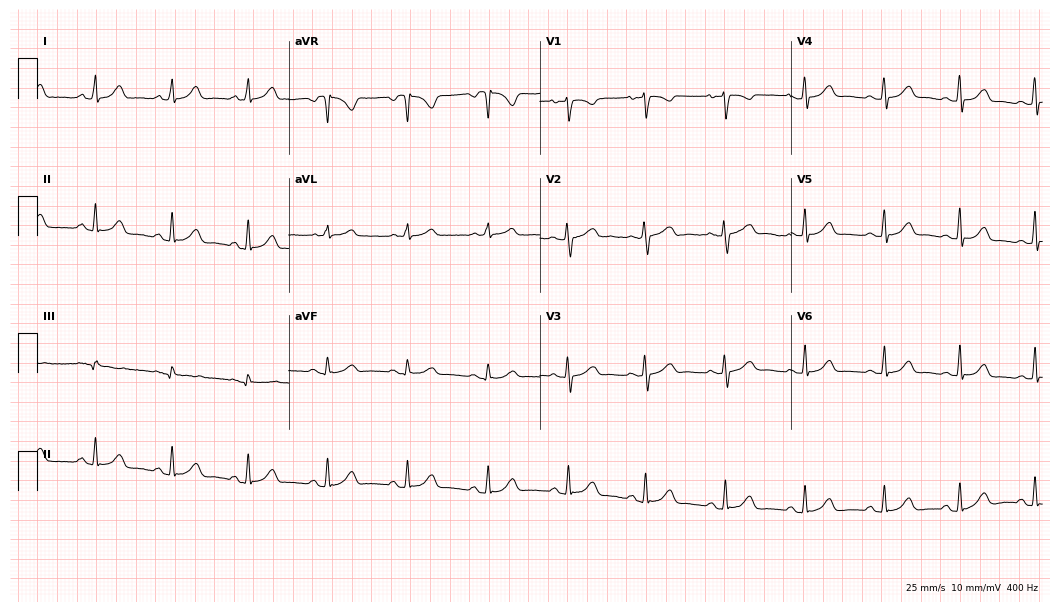
12-lead ECG from a woman, 25 years old. Labelled as a normal ECG.